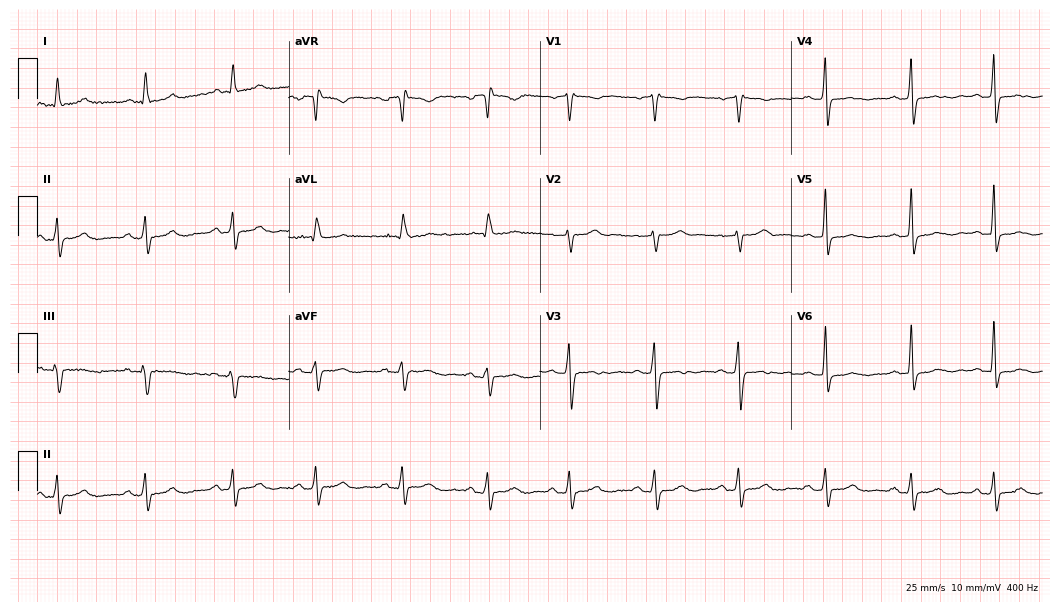
12-lead ECG (10.2-second recording at 400 Hz) from a 60-year-old female. Screened for six findings — first-degree AV block, right bundle branch block, left bundle branch block, sinus bradycardia, atrial fibrillation, sinus tachycardia — none is recorded. Only these six findings were labelled.